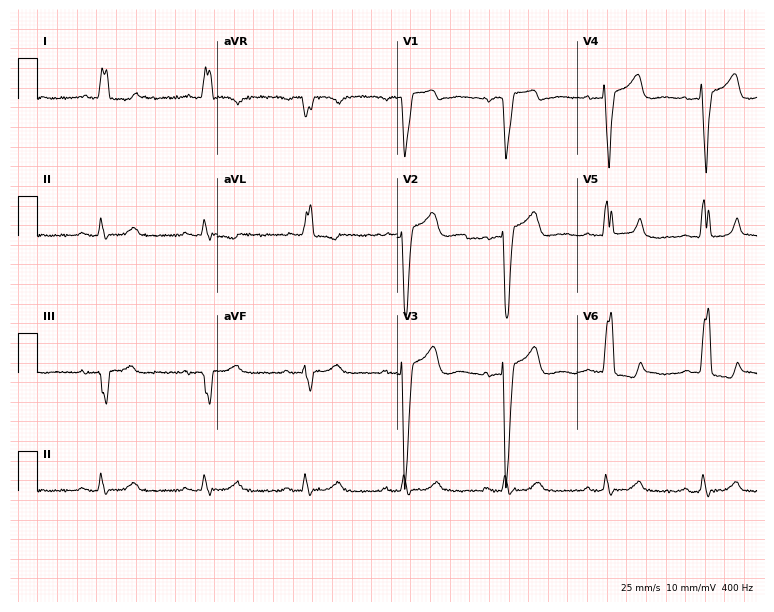
ECG (7.3-second recording at 400 Hz) — a 70-year-old female patient. Findings include left bundle branch block.